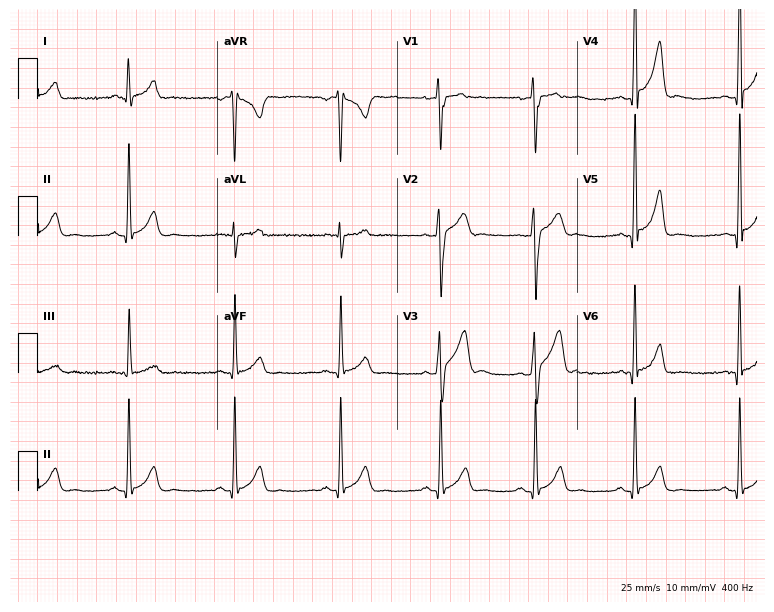
Resting 12-lead electrocardiogram (7.3-second recording at 400 Hz). Patient: a 26-year-old male. Read as a normal ECG.